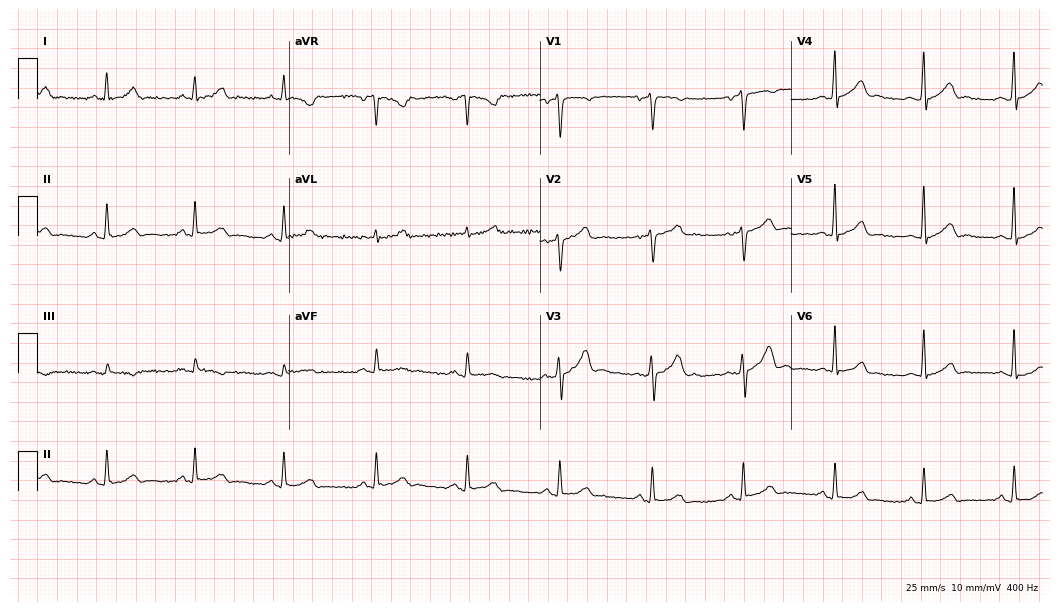
Standard 12-lead ECG recorded from a man, 35 years old. Read as a normal ECG.